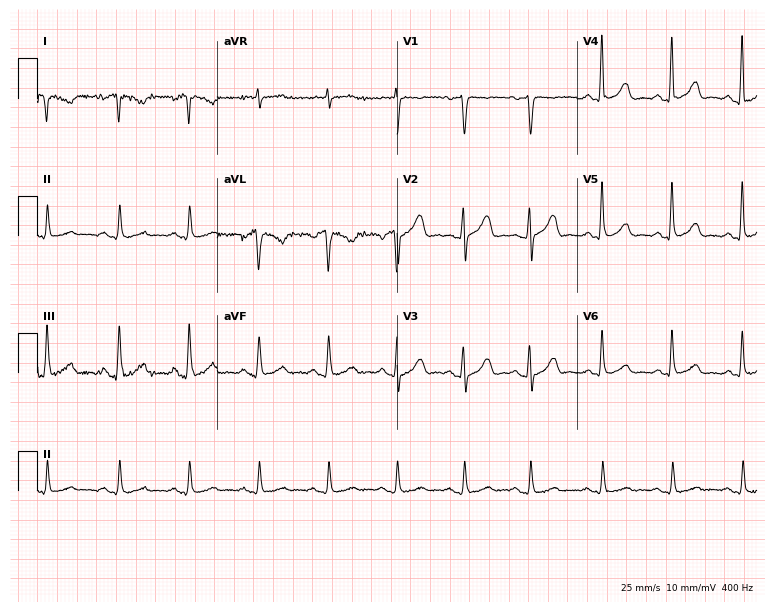
Electrocardiogram, a woman, 62 years old. Of the six screened findings (first-degree AV block, right bundle branch block, left bundle branch block, sinus bradycardia, atrial fibrillation, sinus tachycardia), none is recorded. Findings outside these six are not listed.